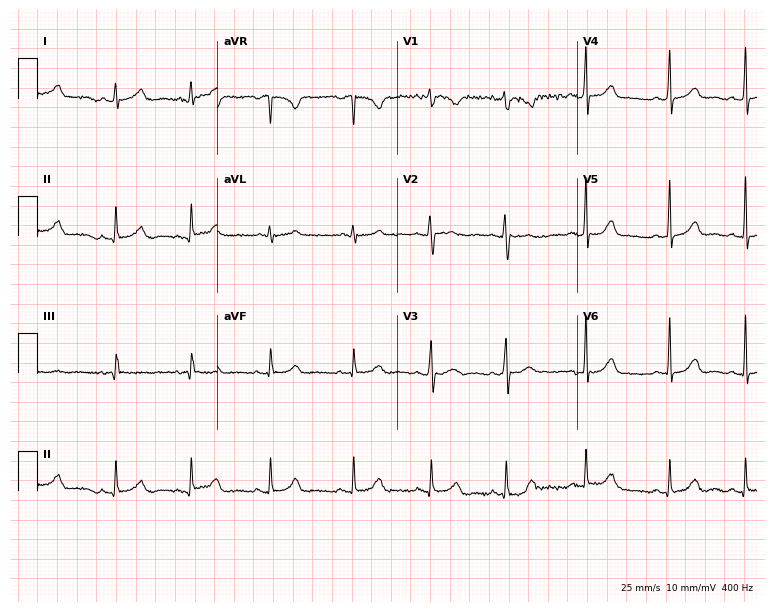
12-lead ECG from a 42-year-old female (7.3-second recording at 400 Hz). No first-degree AV block, right bundle branch block, left bundle branch block, sinus bradycardia, atrial fibrillation or sinus tachycardia recorded for this tracing. Other findings, if any, are not listed.